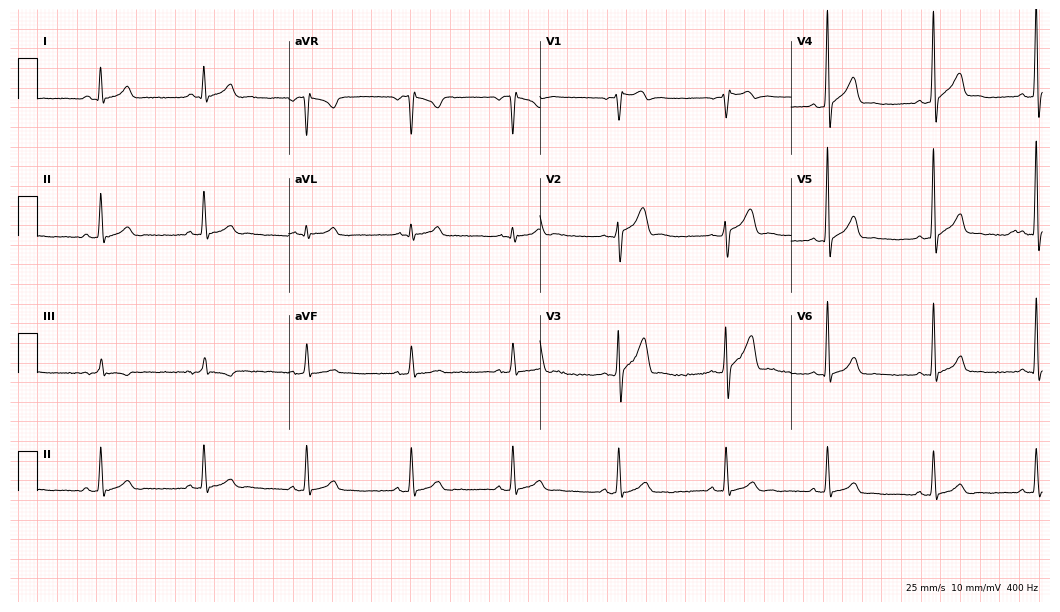
12-lead ECG (10.2-second recording at 400 Hz) from a male patient, 39 years old. Labelled as a normal ECG.